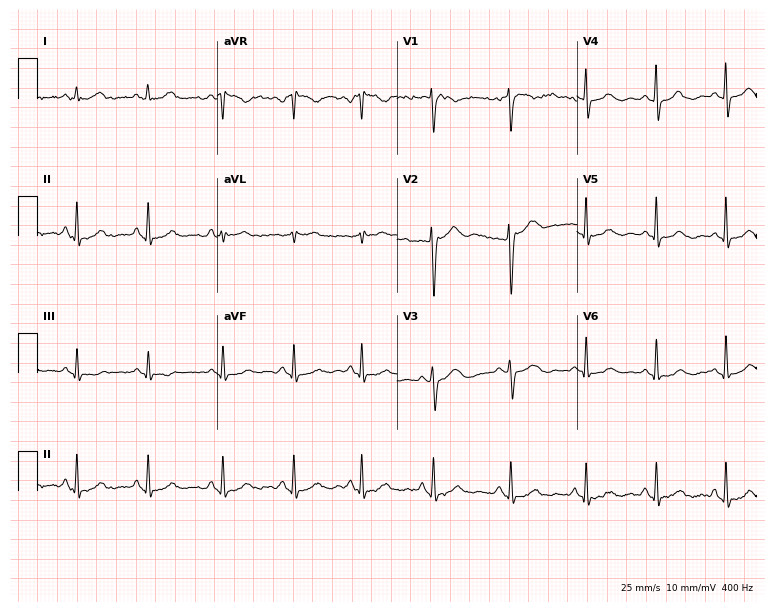
ECG — a female, 42 years old. Screened for six findings — first-degree AV block, right bundle branch block, left bundle branch block, sinus bradycardia, atrial fibrillation, sinus tachycardia — none is recorded. Findings outside these six are not listed.